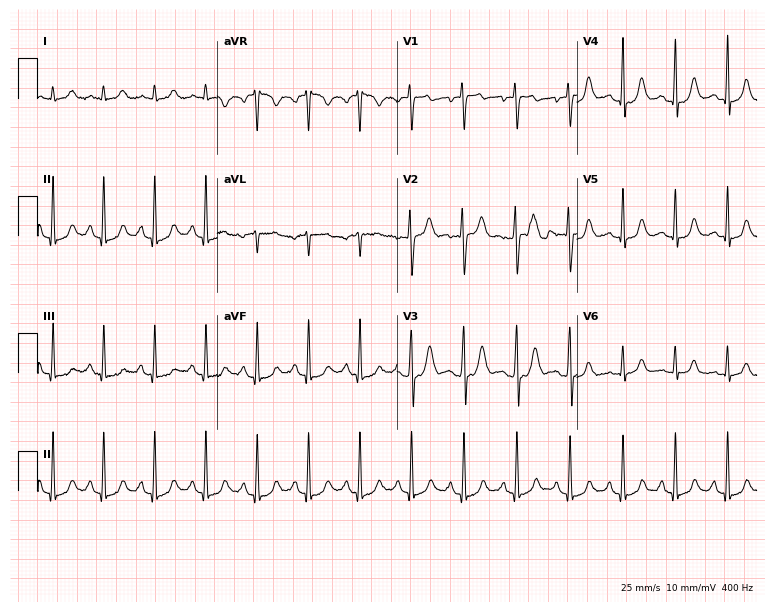
Electrocardiogram (7.3-second recording at 400 Hz), an 18-year-old woman. Interpretation includes sinus tachycardia (a sinus rate of 100 beats per minute or more).